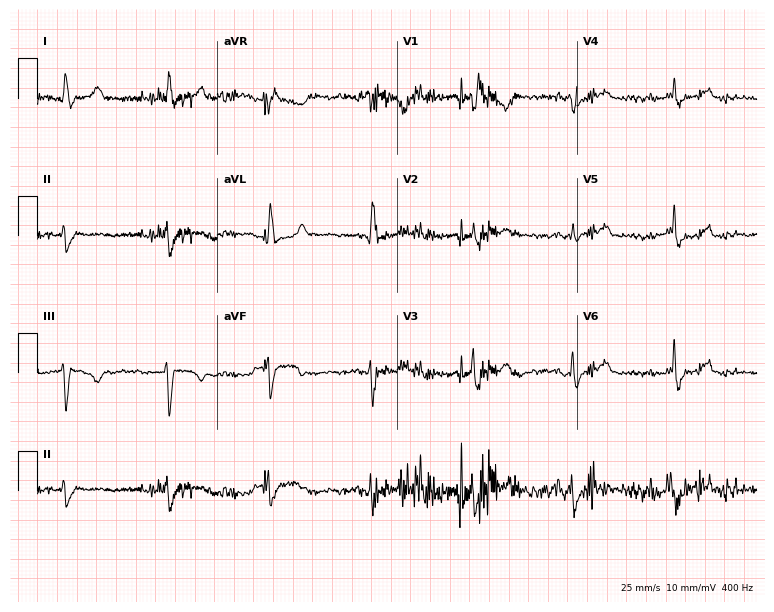
Standard 12-lead ECG recorded from a female patient, 57 years old. The tracing shows right bundle branch block (RBBB).